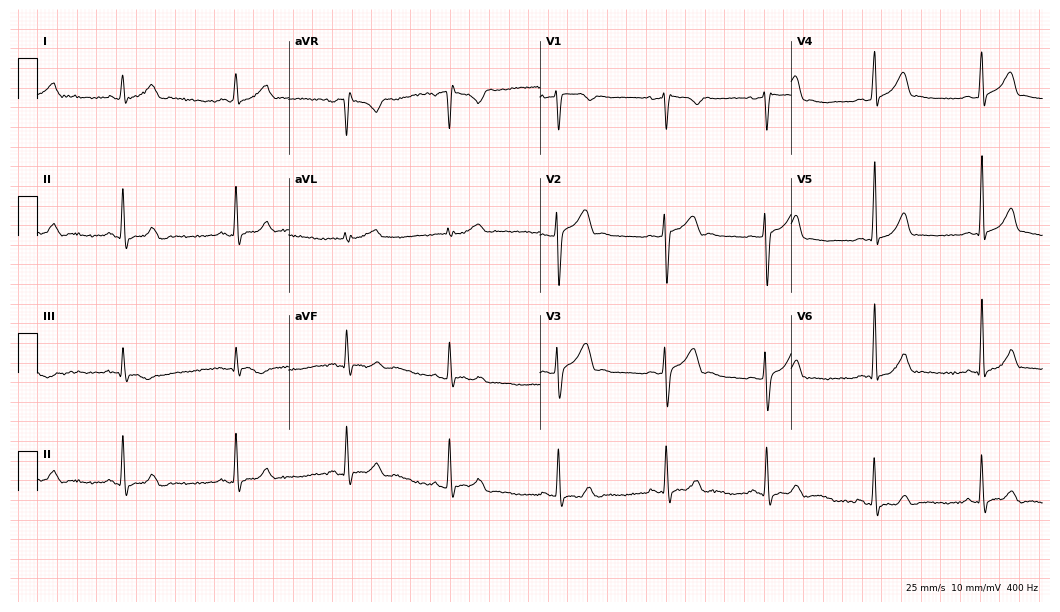
Electrocardiogram, a 27-year-old man. Overall reading on record: normal ECG.